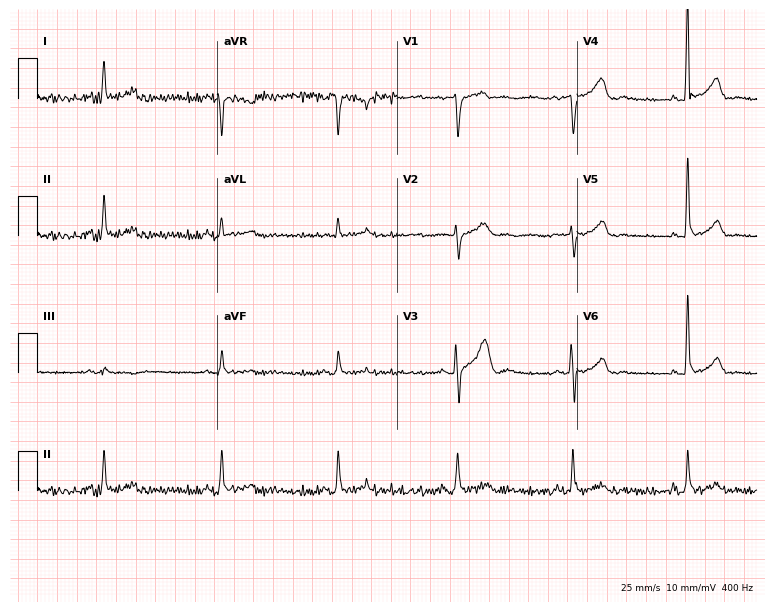
ECG (7.3-second recording at 400 Hz) — a 63-year-old male. Screened for six findings — first-degree AV block, right bundle branch block, left bundle branch block, sinus bradycardia, atrial fibrillation, sinus tachycardia — none is recorded. Other findings, if any, are not listed.